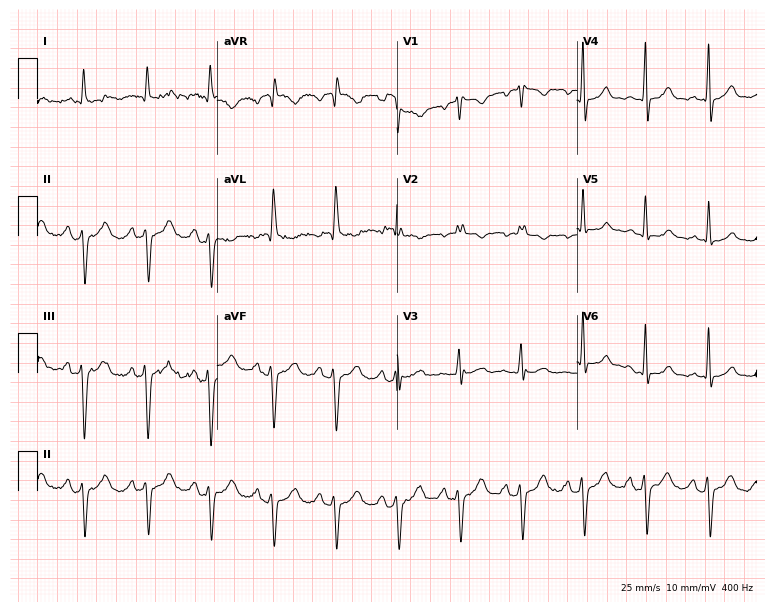
Electrocardiogram, a 68-year-old female. Of the six screened findings (first-degree AV block, right bundle branch block, left bundle branch block, sinus bradycardia, atrial fibrillation, sinus tachycardia), none is recorded. Only these six findings were labelled.